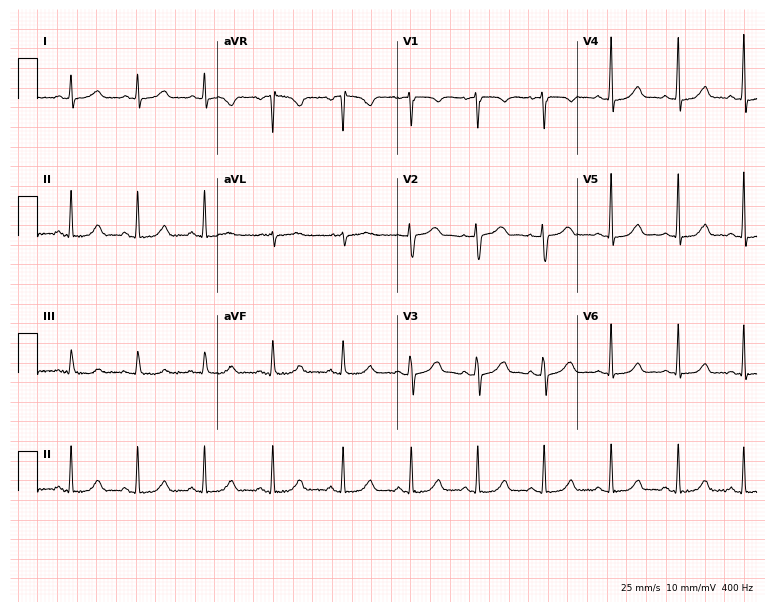
12-lead ECG (7.3-second recording at 400 Hz) from a woman, 42 years old. Labelled as a normal ECG.